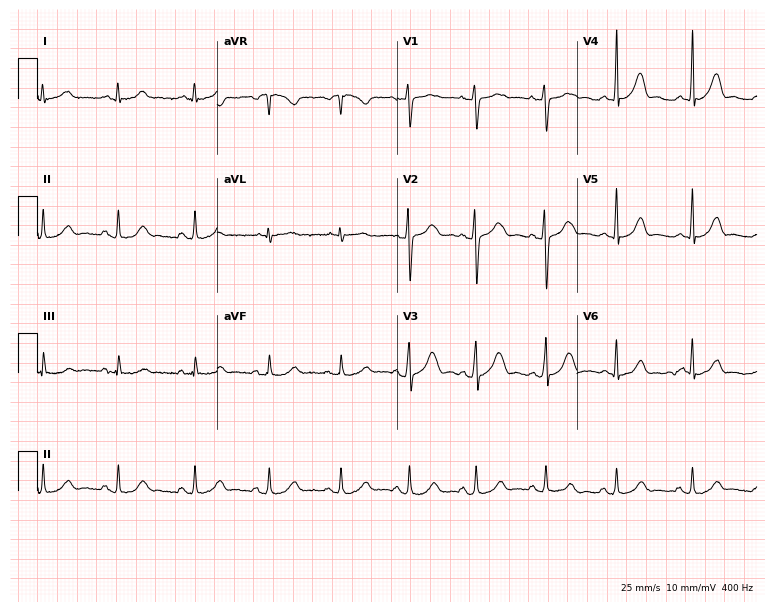
ECG (7.3-second recording at 400 Hz) — a 21-year-old female. Labelled as a normal ECG.